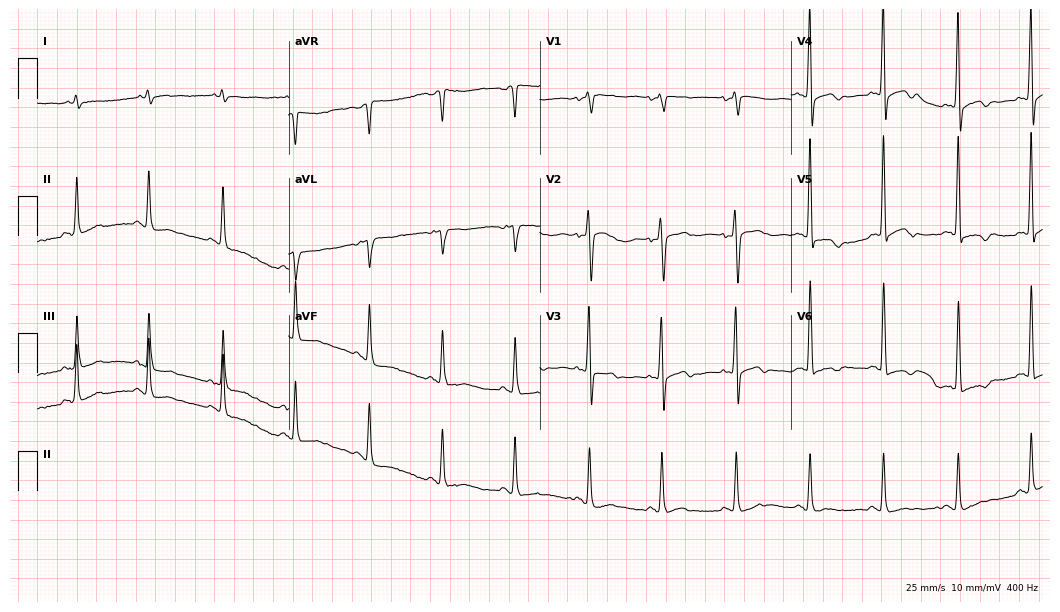
12-lead ECG from a female patient, 83 years old. Screened for six findings — first-degree AV block, right bundle branch block, left bundle branch block, sinus bradycardia, atrial fibrillation, sinus tachycardia — none is recorded.